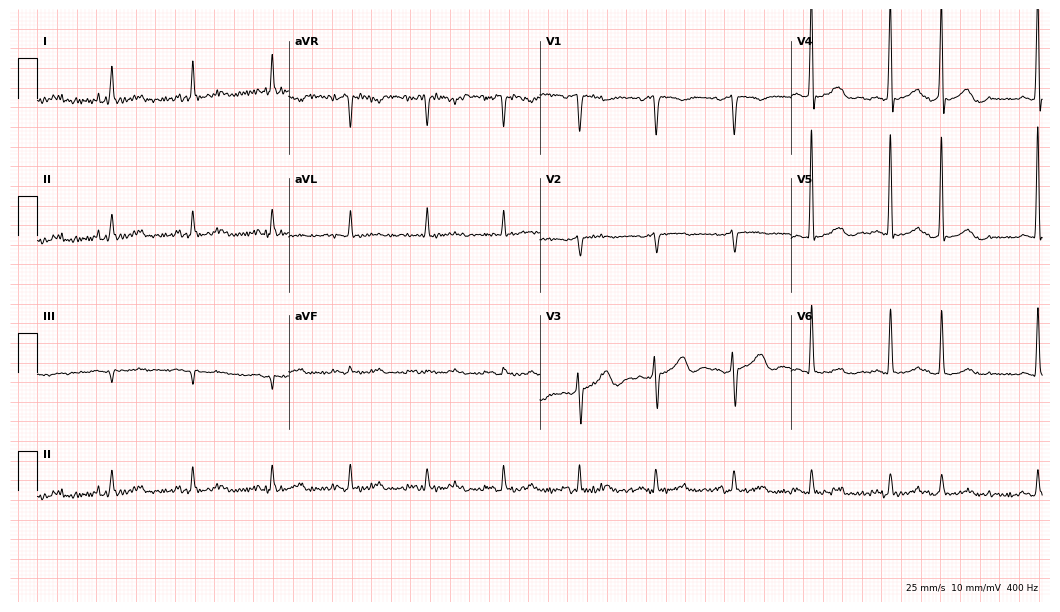
Standard 12-lead ECG recorded from a male patient, 85 years old (10.2-second recording at 400 Hz). None of these six findings is recorded: first-degree AV block, right bundle branch block, left bundle branch block, sinus bradycardia, atrial fibrillation, sinus tachycardia.